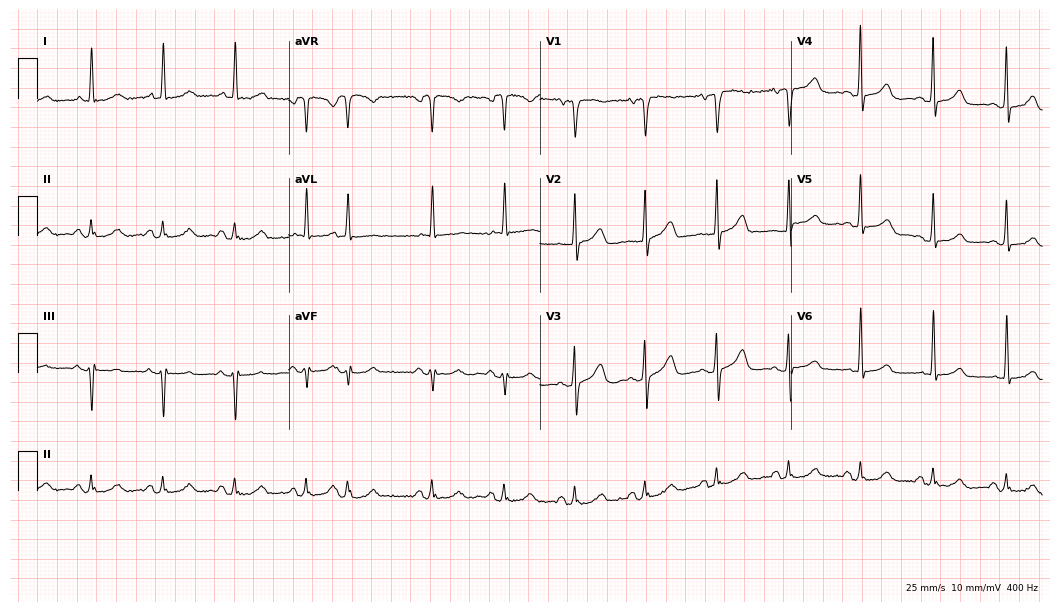
ECG — a female, 81 years old. Screened for six findings — first-degree AV block, right bundle branch block, left bundle branch block, sinus bradycardia, atrial fibrillation, sinus tachycardia — none is recorded. Only these six findings were labelled.